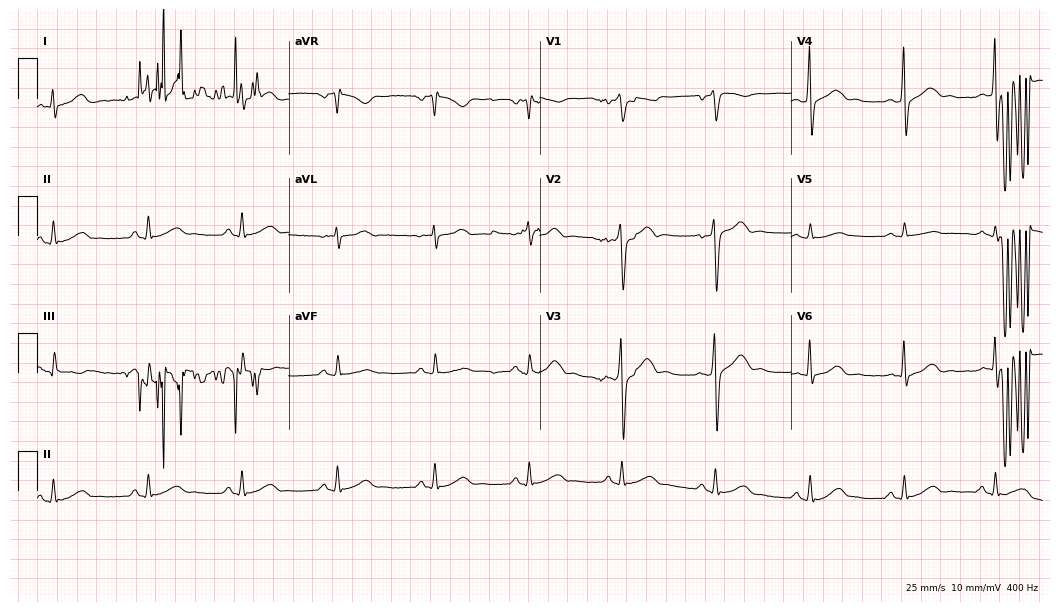
Electrocardiogram (10.2-second recording at 400 Hz), a 39-year-old man. Of the six screened findings (first-degree AV block, right bundle branch block, left bundle branch block, sinus bradycardia, atrial fibrillation, sinus tachycardia), none is recorded.